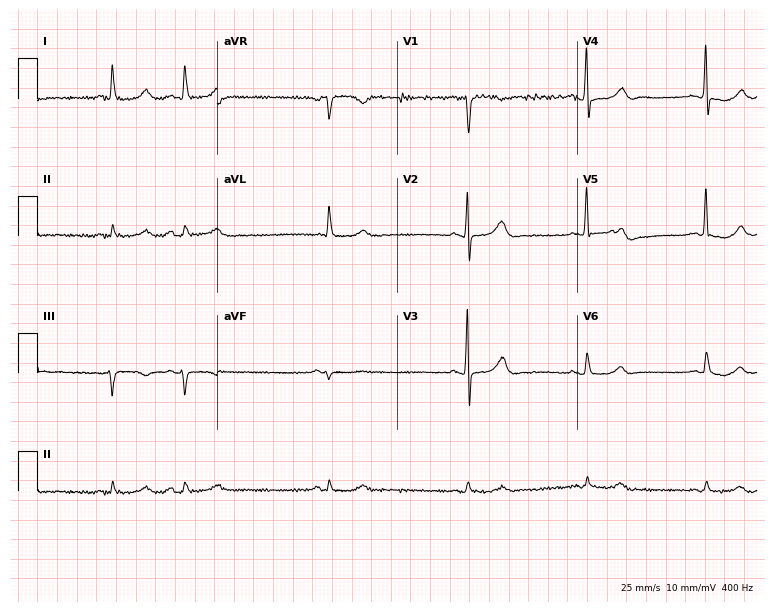
Resting 12-lead electrocardiogram. Patient: a 72-year-old man. The tracing shows sinus bradycardia (a sinus rate of 50 beats per minute or less).